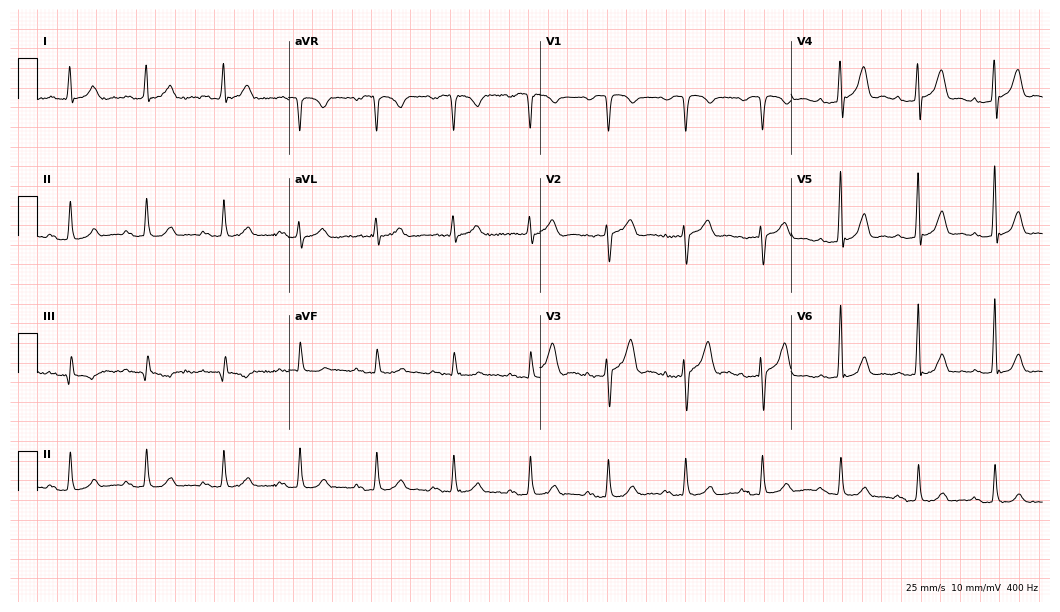
12-lead ECG (10.2-second recording at 400 Hz) from a male, 66 years old. Screened for six findings — first-degree AV block, right bundle branch block (RBBB), left bundle branch block (LBBB), sinus bradycardia, atrial fibrillation (AF), sinus tachycardia — none is recorded.